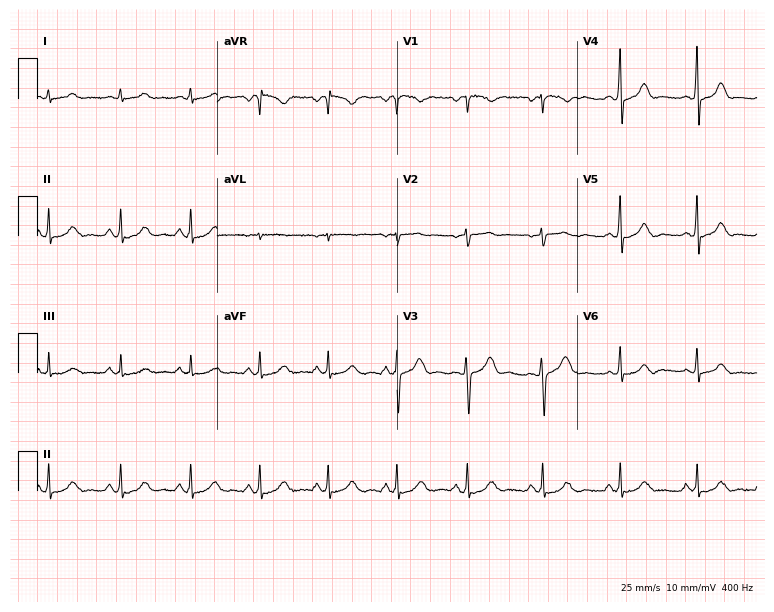
ECG — a female, 40 years old. Screened for six findings — first-degree AV block, right bundle branch block (RBBB), left bundle branch block (LBBB), sinus bradycardia, atrial fibrillation (AF), sinus tachycardia — none is recorded.